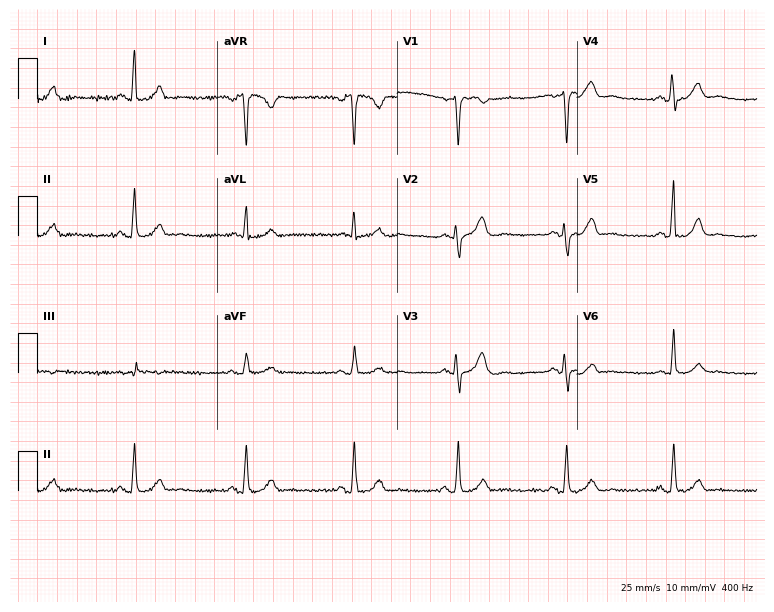
Electrocardiogram, a female, 34 years old. Overall reading on record: normal ECG.